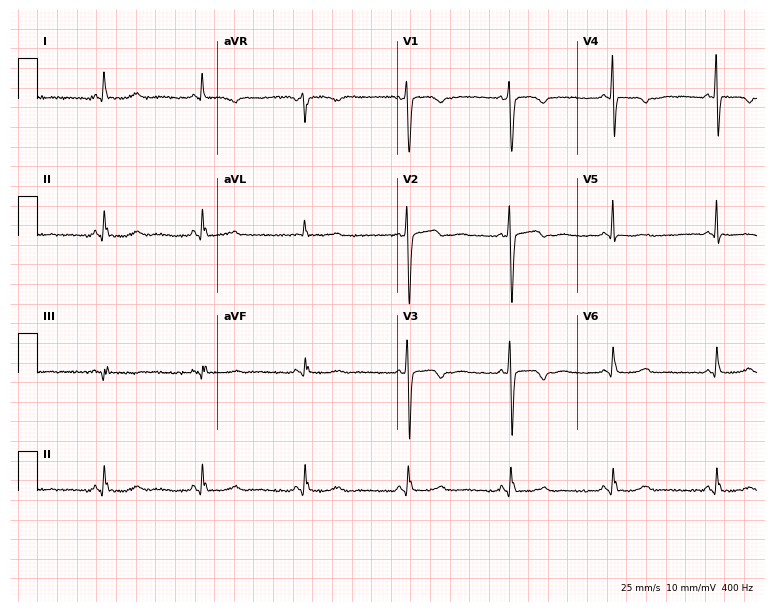
Standard 12-lead ECG recorded from a 58-year-old male patient (7.3-second recording at 400 Hz). None of these six findings is recorded: first-degree AV block, right bundle branch block, left bundle branch block, sinus bradycardia, atrial fibrillation, sinus tachycardia. Other findings, if any, are not listed.